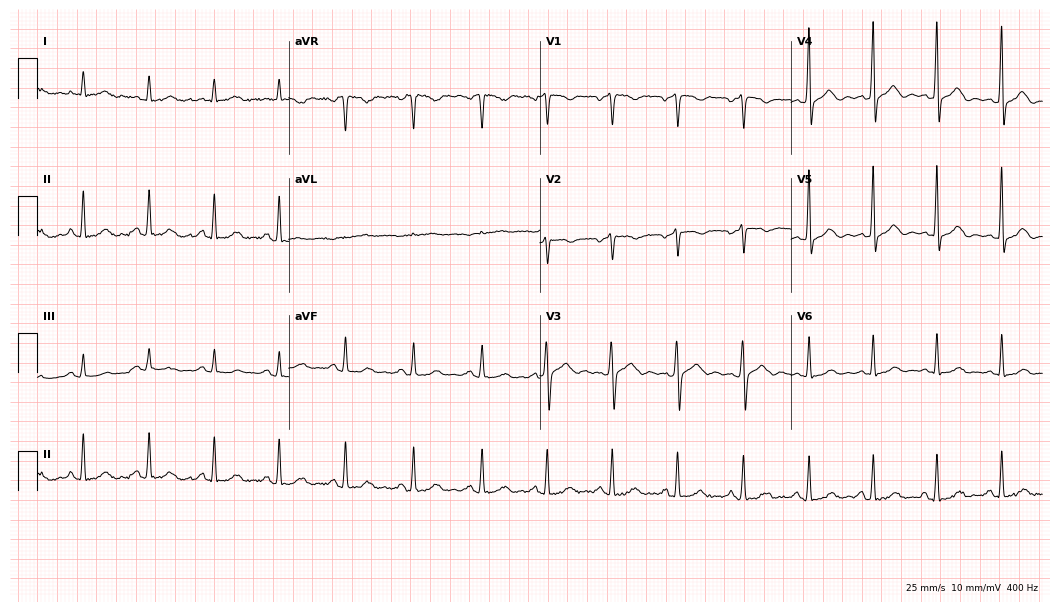
12-lead ECG from a 53-year-old female. Labelled as a normal ECG.